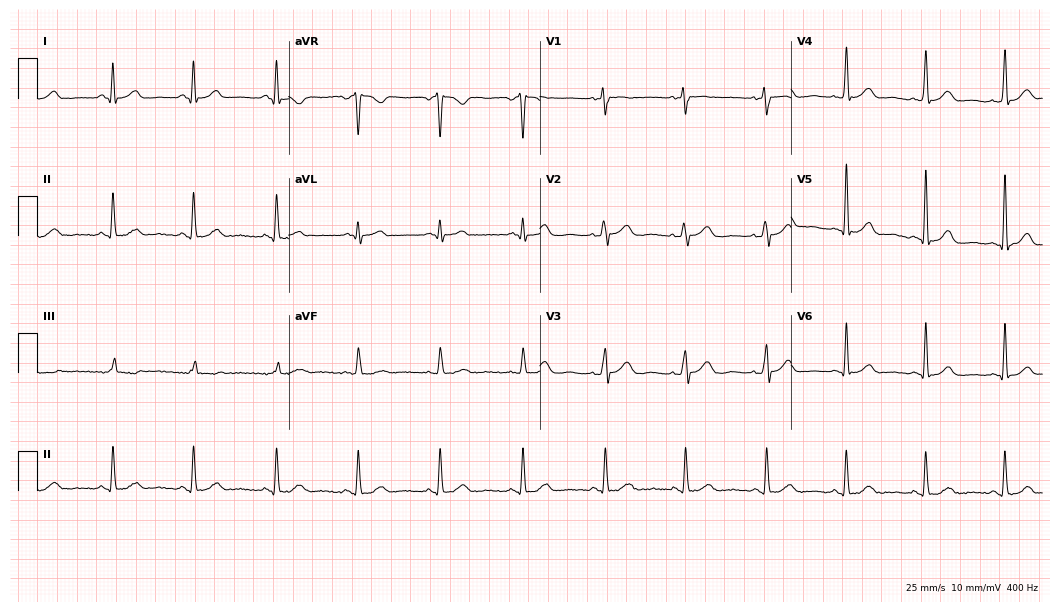
Standard 12-lead ECG recorded from a woman, 41 years old. Read as a normal ECG.